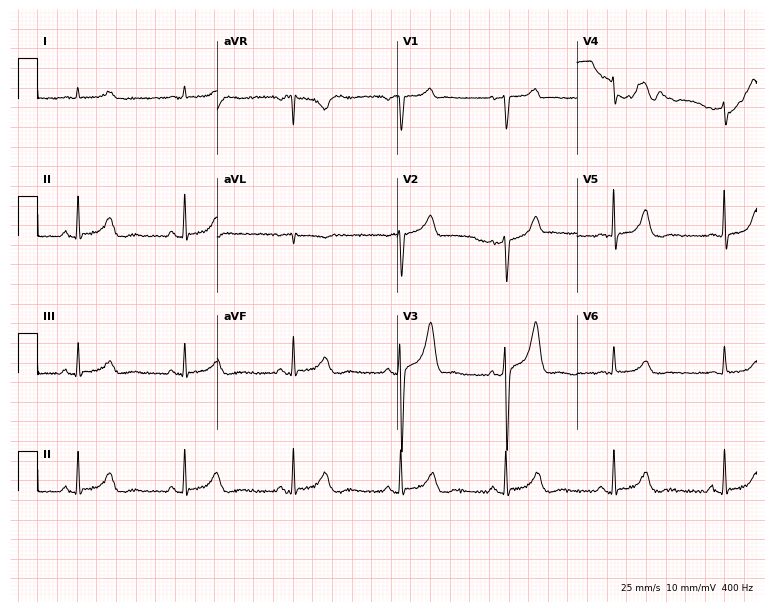
12-lead ECG from a male patient, 67 years old. Recorded interpretation: within normal limits.